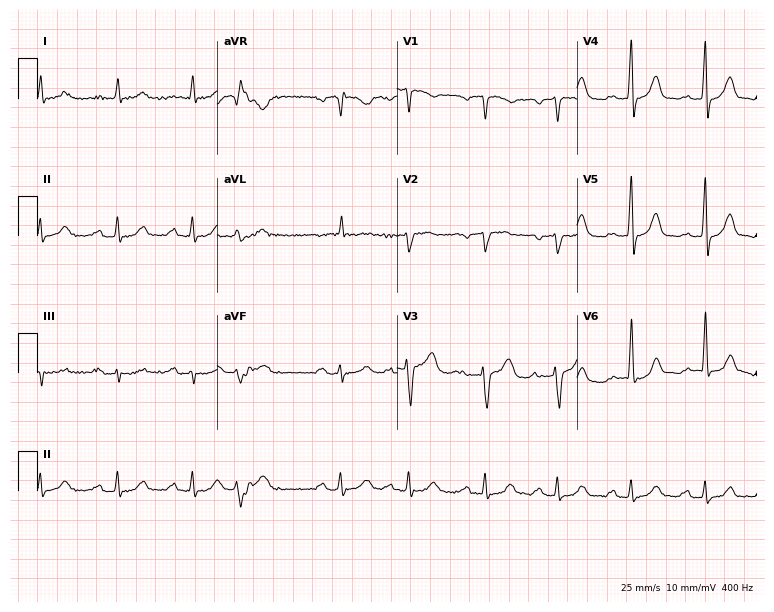
12-lead ECG from a male, 81 years old. Shows first-degree AV block.